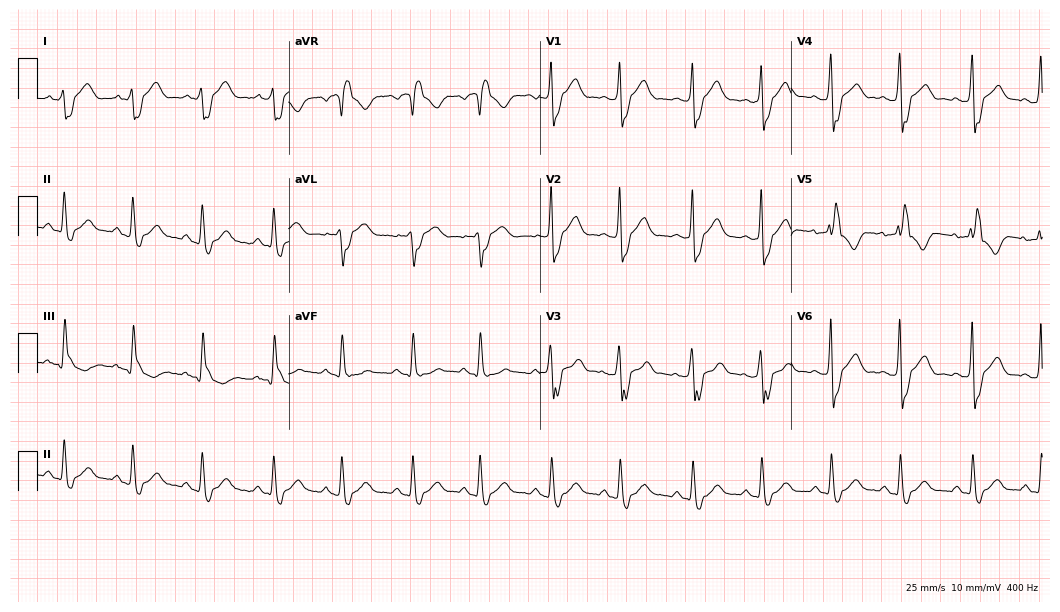
12-lead ECG from a 49-year-old man. Shows right bundle branch block.